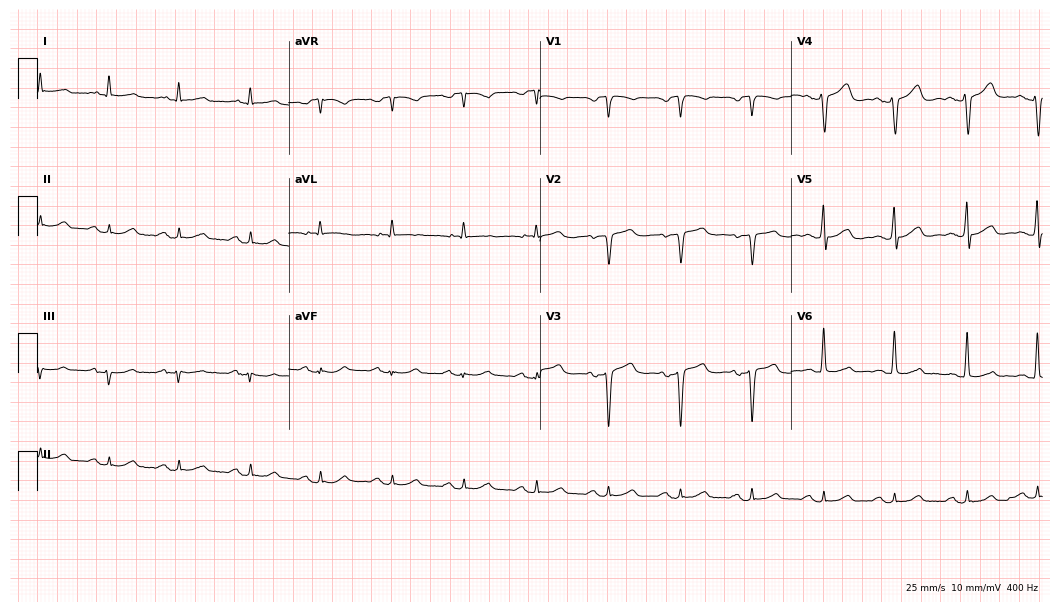
Electrocardiogram, a 64-year-old male. Overall reading on record: normal ECG.